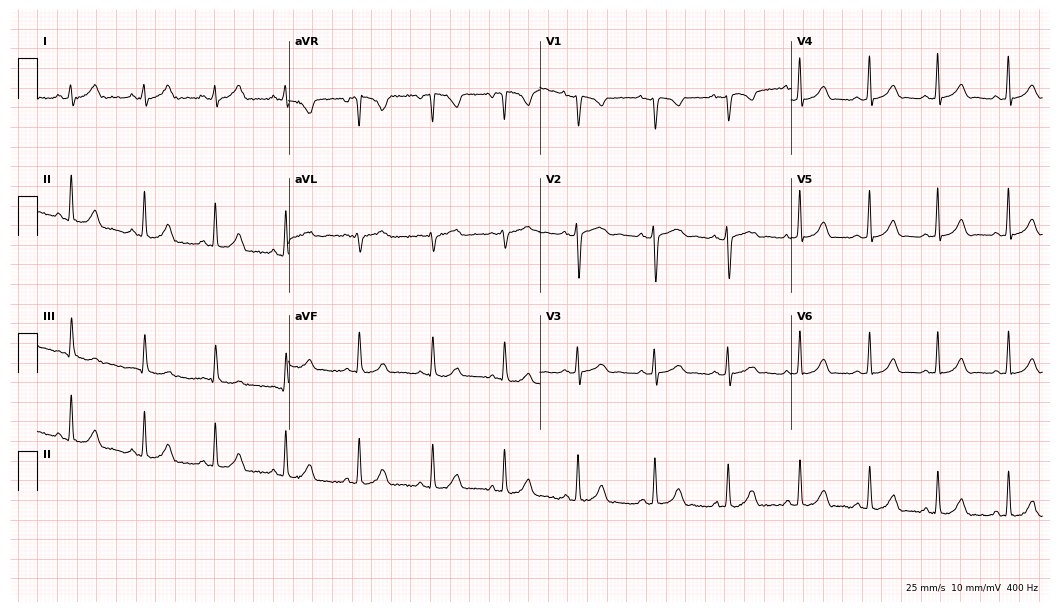
12-lead ECG from a 21-year-old female. Labelled as a normal ECG.